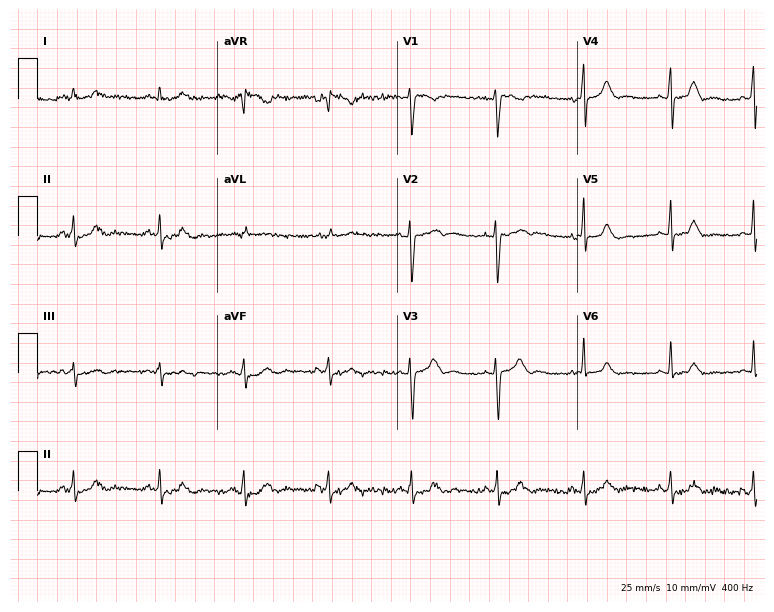
Electrocardiogram, a woman, 32 years old. Overall reading on record: normal ECG.